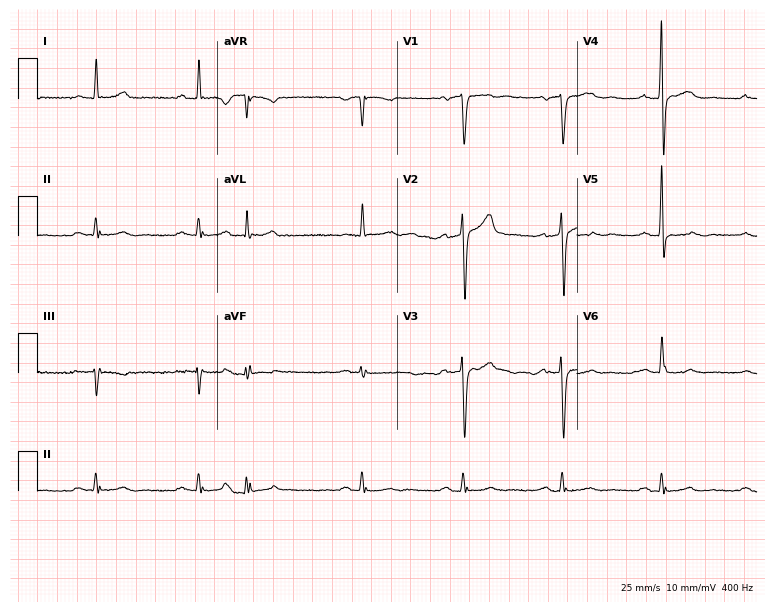
ECG — a male patient, 60 years old. Screened for six findings — first-degree AV block, right bundle branch block, left bundle branch block, sinus bradycardia, atrial fibrillation, sinus tachycardia — none is recorded.